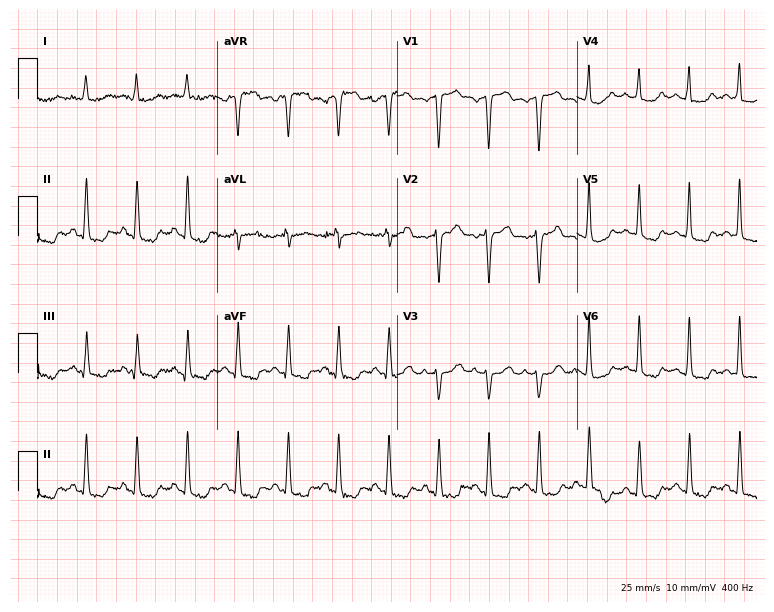
ECG — a female, 70 years old. Findings include sinus tachycardia (a sinus rate of 100 beats per minute or more).